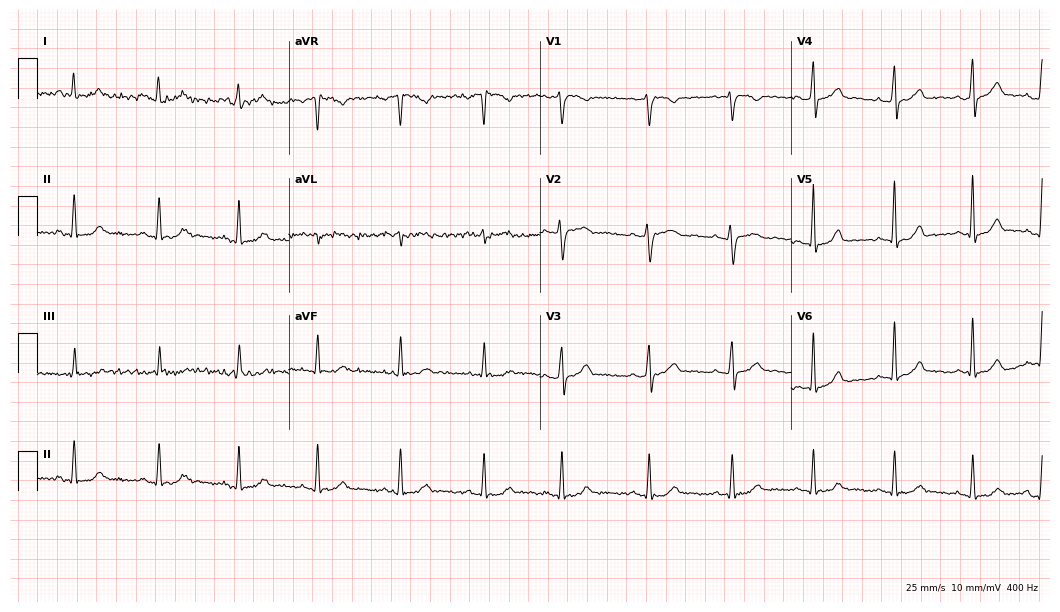
12-lead ECG from a female patient, 25 years old. Recorded interpretation: within normal limits.